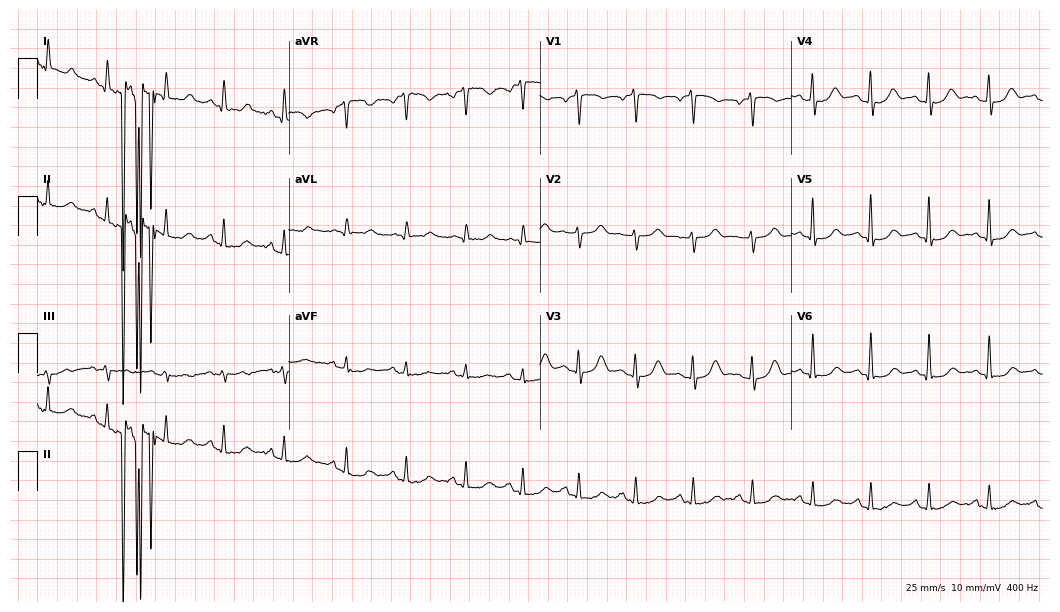
ECG — a woman, 50 years old. Screened for six findings — first-degree AV block, right bundle branch block (RBBB), left bundle branch block (LBBB), sinus bradycardia, atrial fibrillation (AF), sinus tachycardia — none is recorded. Only these six findings were labelled.